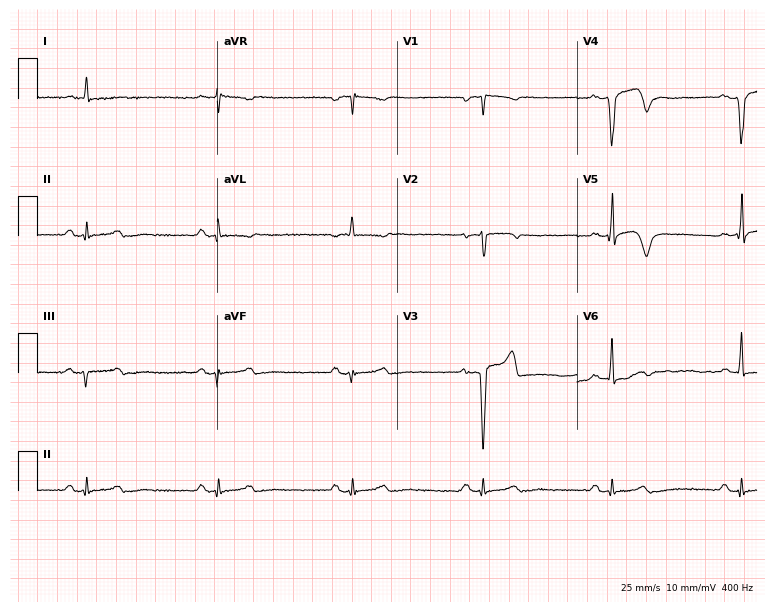
12-lead ECG from an 81-year-old male. Findings include sinus bradycardia (a sinus rate of 50 beats per minute or less).